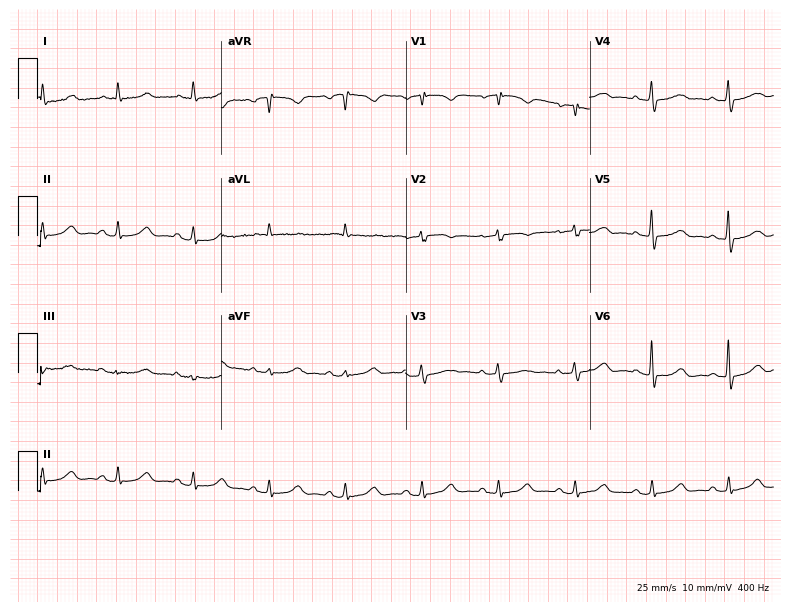
12-lead ECG from an 83-year-old man. Recorded interpretation: within normal limits.